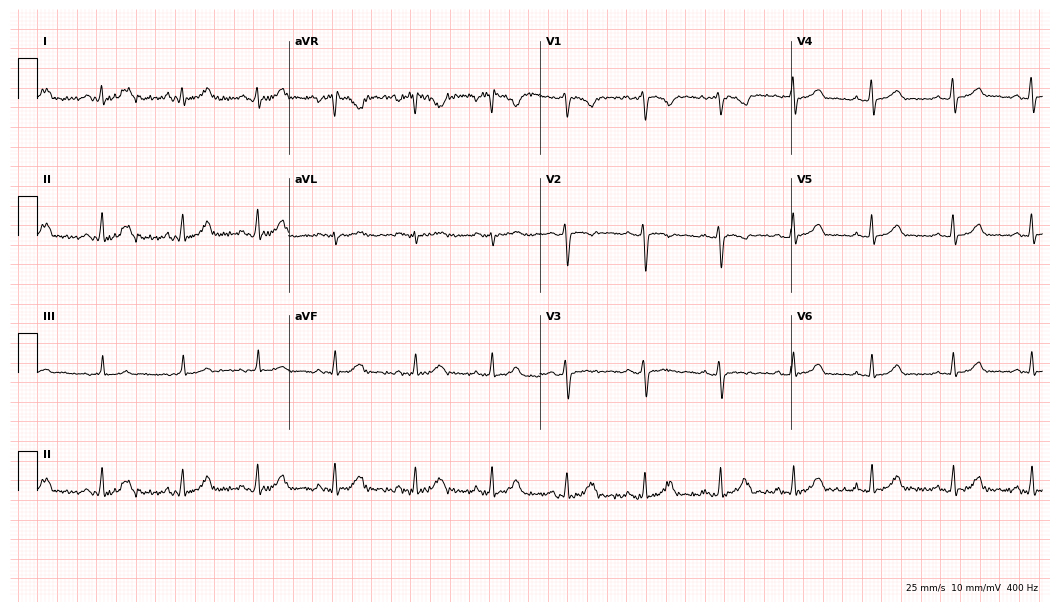
Standard 12-lead ECG recorded from a female patient, 19 years old. Read as a normal ECG.